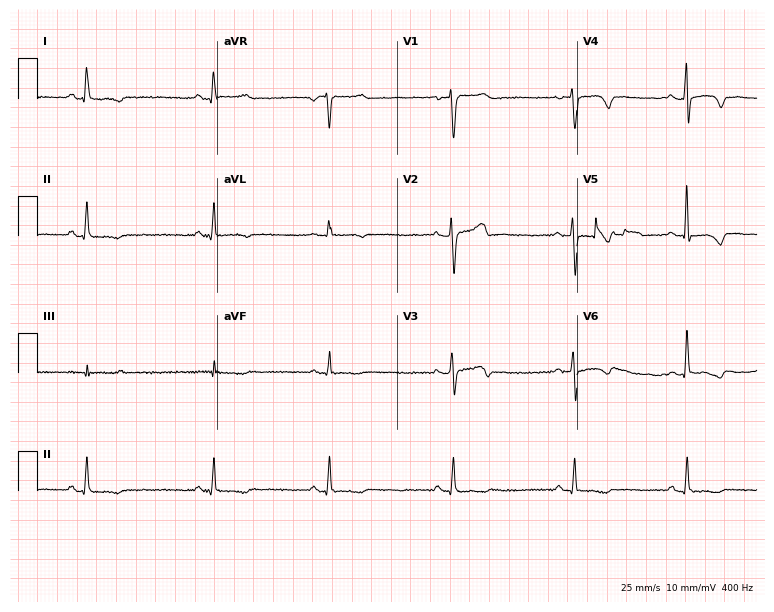
Standard 12-lead ECG recorded from a 52-year-old female patient (7.3-second recording at 400 Hz). The tracing shows sinus bradycardia (a sinus rate of 50 beats per minute or less).